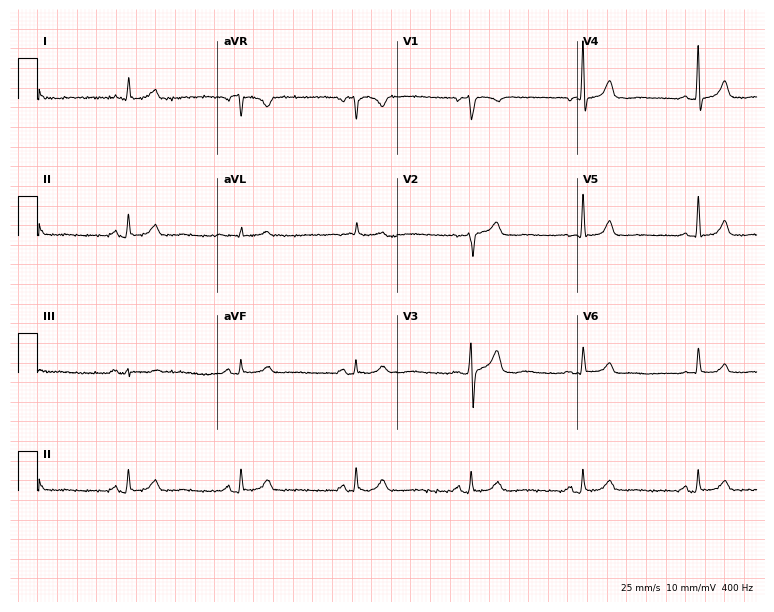
Electrocardiogram (7.3-second recording at 400 Hz), a male, 46 years old. Overall reading on record: normal ECG.